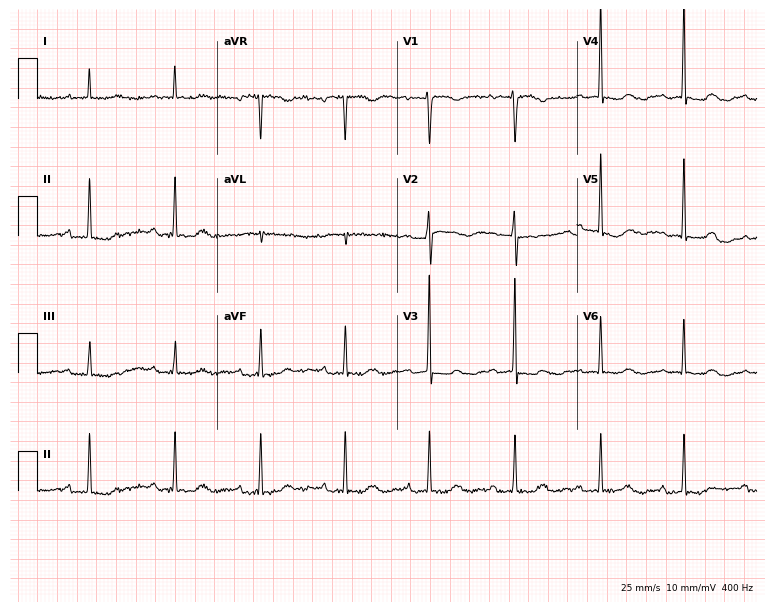
ECG (7.3-second recording at 400 Hz) — a 65-year-old woman. Findings include first-degree AV block.